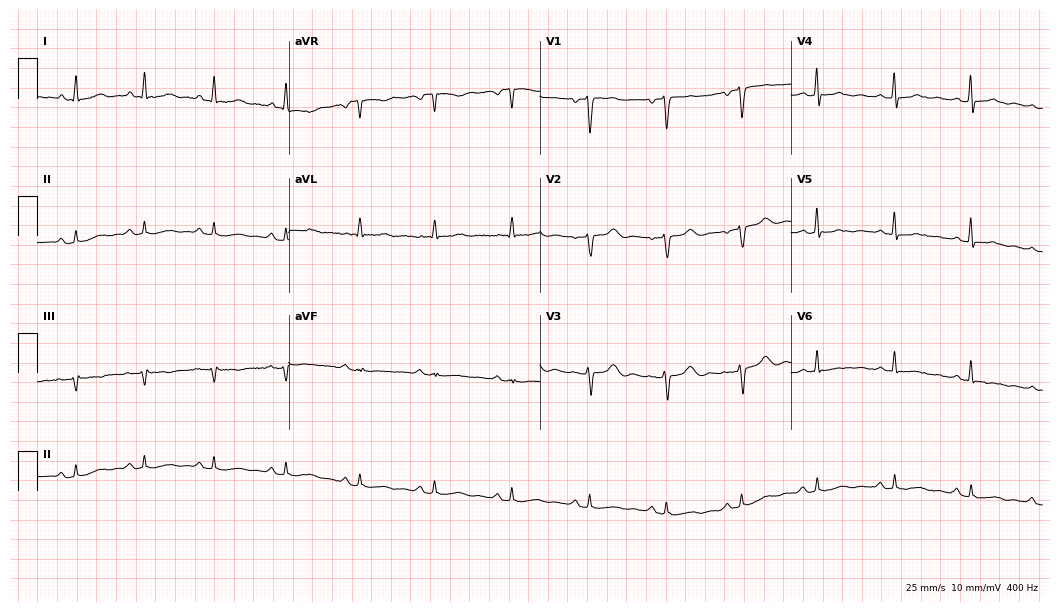
Electrocardiogram, a 58-year-old female patient. Overall reading on record: normal ECG.